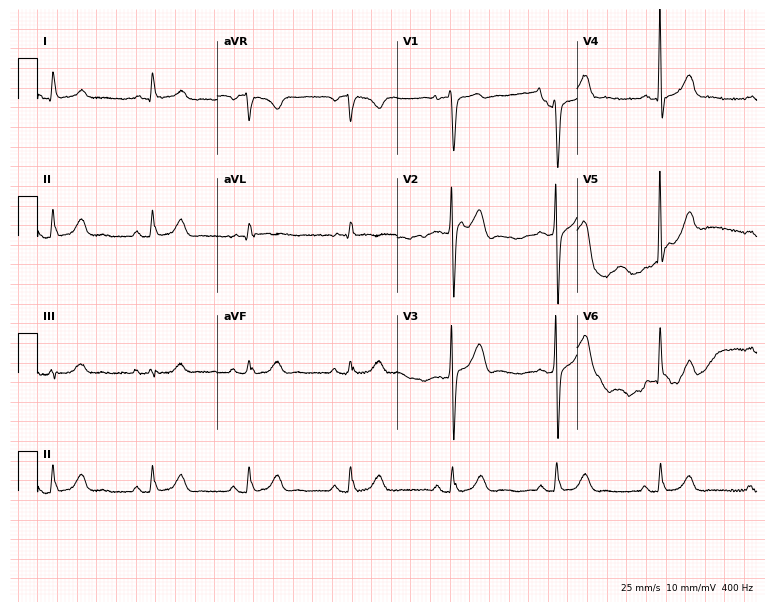
Electrocardiogram, a man, 79 years old. Overall reading on record: normal ECG.